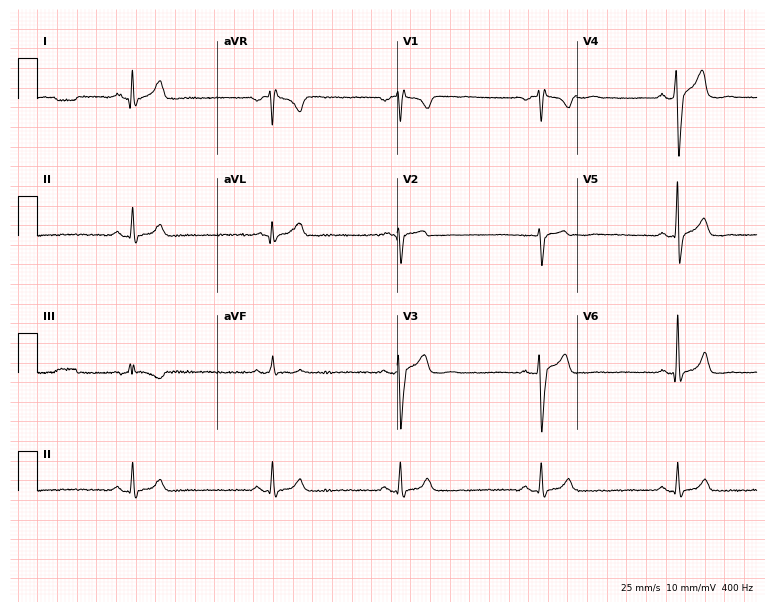
Resting 12-lead electrocardiogram. Patient: a 33-year-old male. None of these six findings is recorded: first-degree AV block, right bundle branch block (RBBB), left bundle branch block (LBBB), sinus bradycardia, atrial fibrillation (AF), sinus tachycardia. Findings outside these six are not listed.